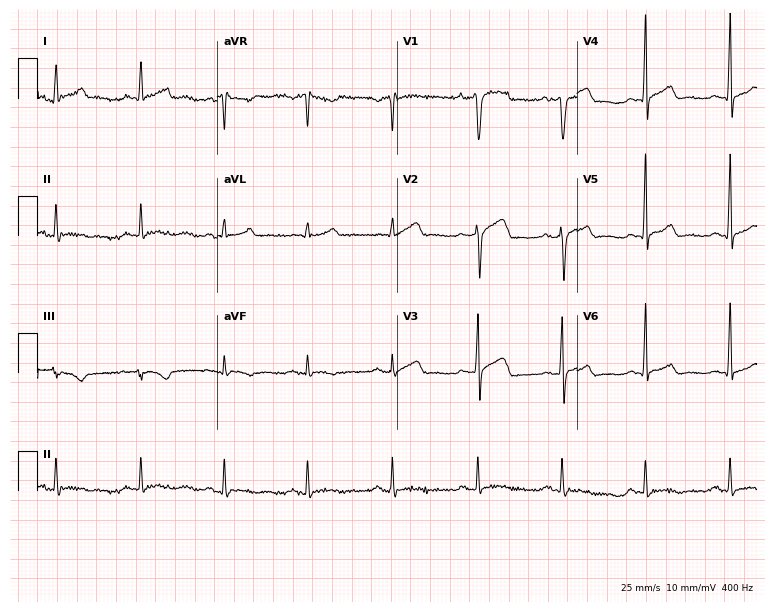
12-lead ECG from a male, 43 years old (7.3-second recording at 400 Hz). No first-degree AV block, right bundle branch block, left bundle branch block, sinus bradycardia, atrial fibrillation or sinus tachycardia recorded for this tracing. Other findings, if any, are not listed.